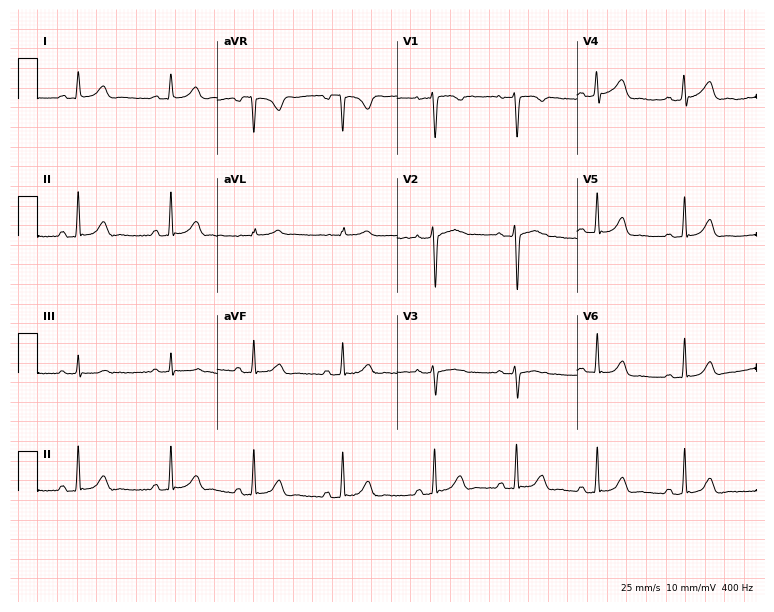
12-lead ECG from an 18-year-old woman. Screened for six findings — first-degree AV block, right bundle branch block (RBBB), left bundle branch block (LBBB), sinus bradycardia, atrial fibrillation (AF), sinus tachycardia — none is recorded. Findings outside these six are not listed.